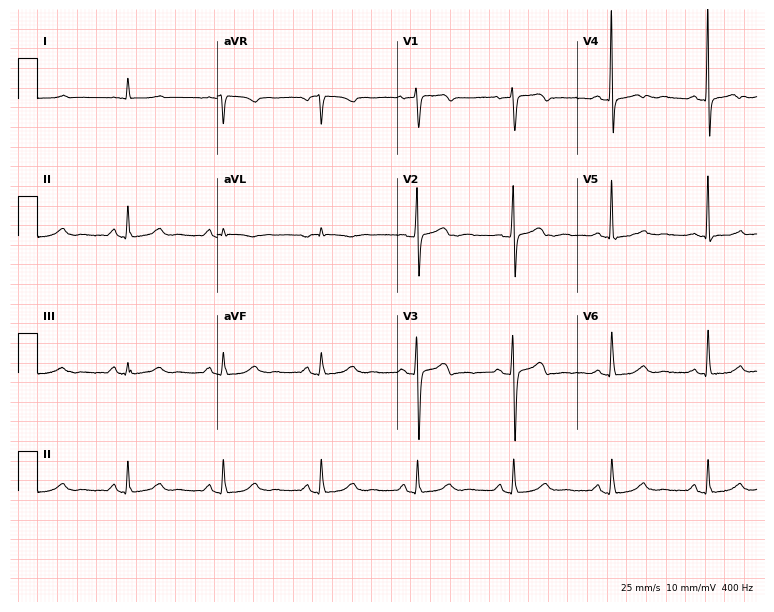
Electrocardiogram, a 52-year-old female. Overall reading on record: normal ECG.